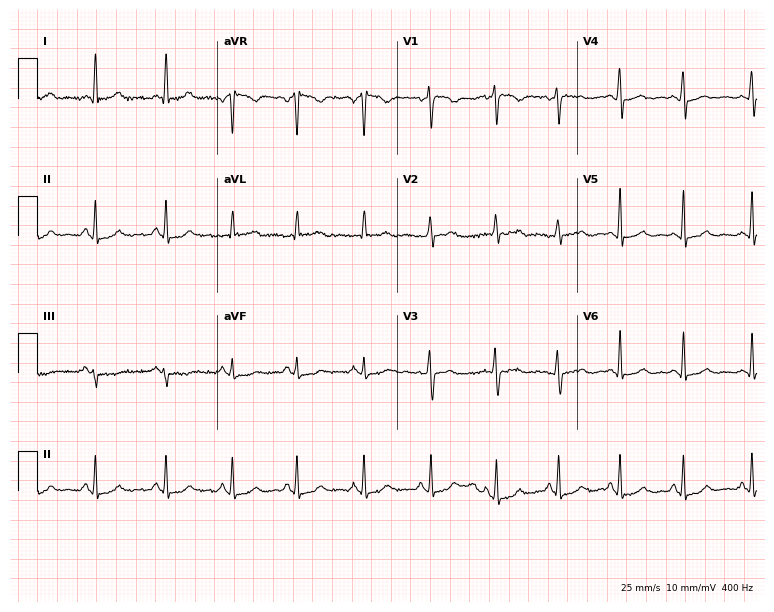
12-lead ECG from a 38-year-old female. Labelled as a normal ECG.